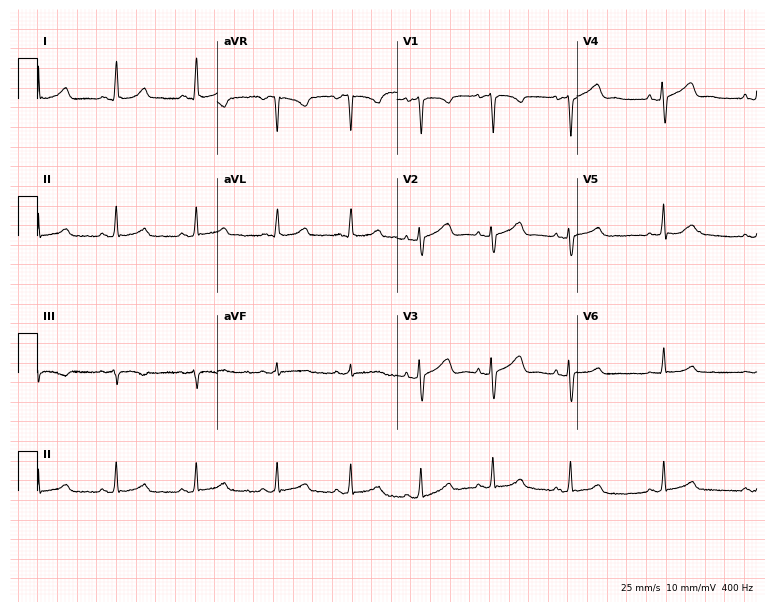
ECG (7.3-second recording at 400 Hz) — a female, 31 years old. Labelled as a normal ECG.